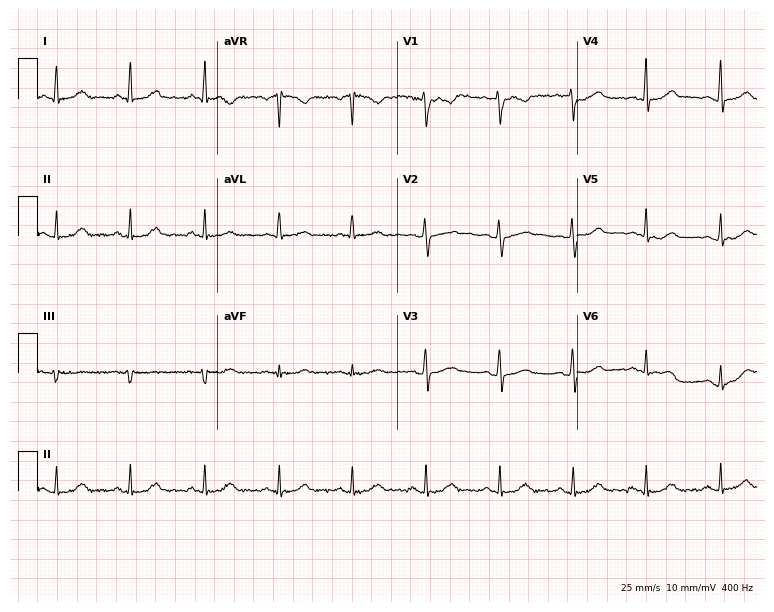
12-lead ECG from a woman, 48 years old. Labelled as a normal ECG.